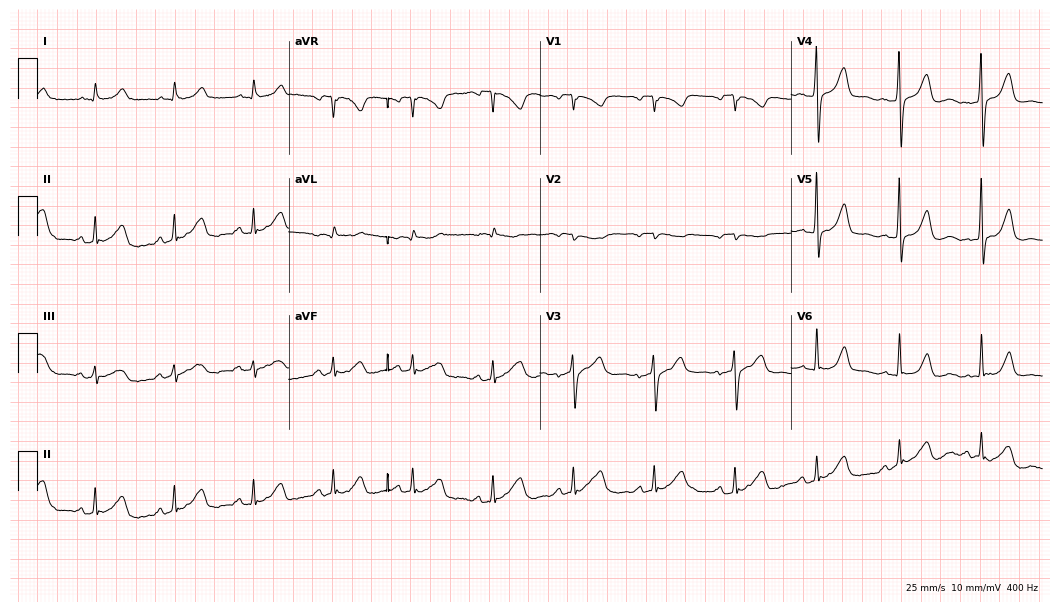
12-lead ECG (10.2-second recording at 400 Hz) from a female patient, 74 years old. Labelled as a normal ECG.